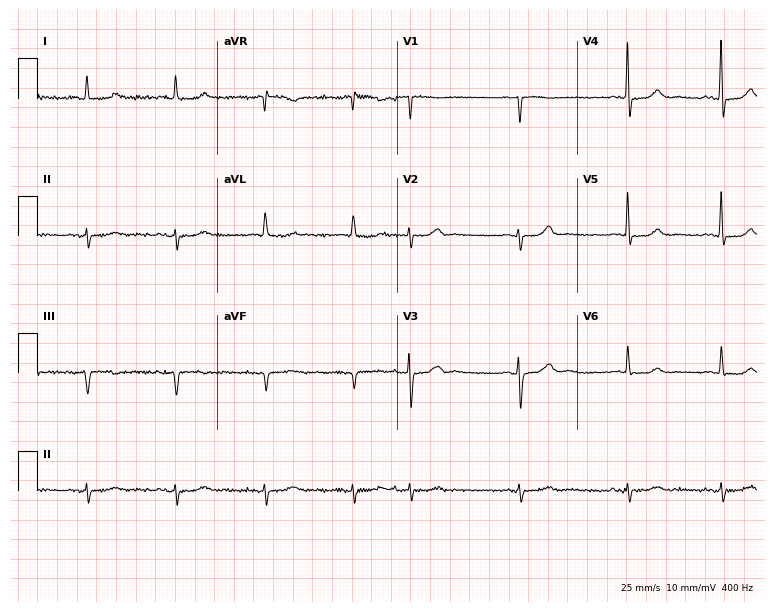
12-lead ECG from a female patient aged 90 or older. No first-degree AV block, right bundle branch block, left bundle branch block, sinus bradycardia, atrial fibrillation or sinus tachycardia recorded for this tracing. Only these six findings were labelled.